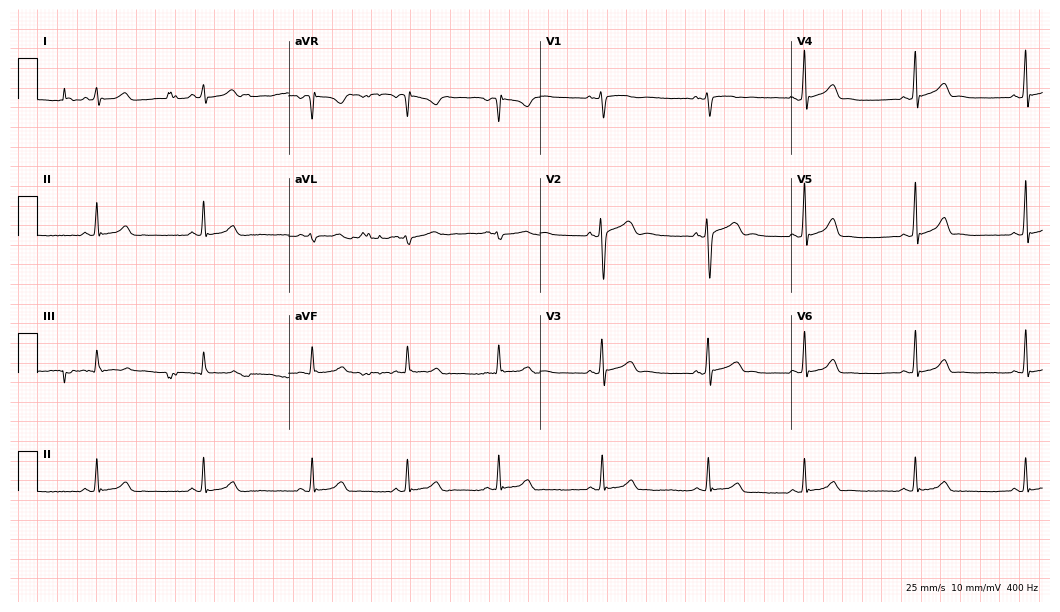
Standard 12-lead ECG recorded from an 18-year-old female (10.2-second recording at 400 Hz). None of these six findings is recorded: first-degree AV block, right bundle branch block (RBBB), left bundle branch block (LBBB), sinus bradycardia, atrial fibrillation (AF), sinus tachycardia.